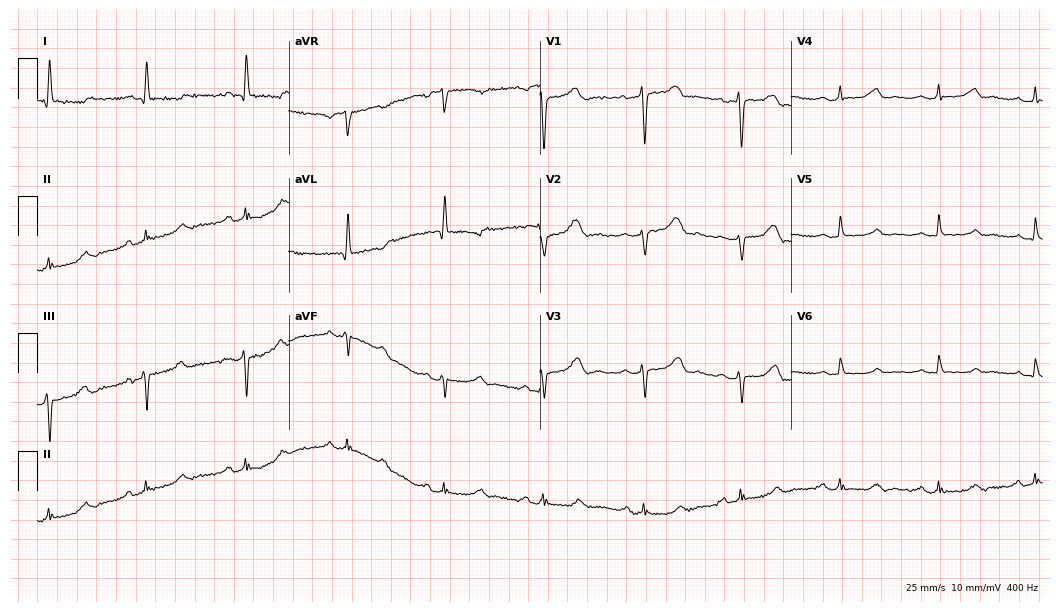
12-lead ECG (10.2-second recording at 400 Hz) from a female, 52 years old. Screened for six findings — first-degree AV block, right bundle branch block, left bundle branch block, sinus bradycardia, atrial fibrillation, sinus tachycardia — none is recorded.